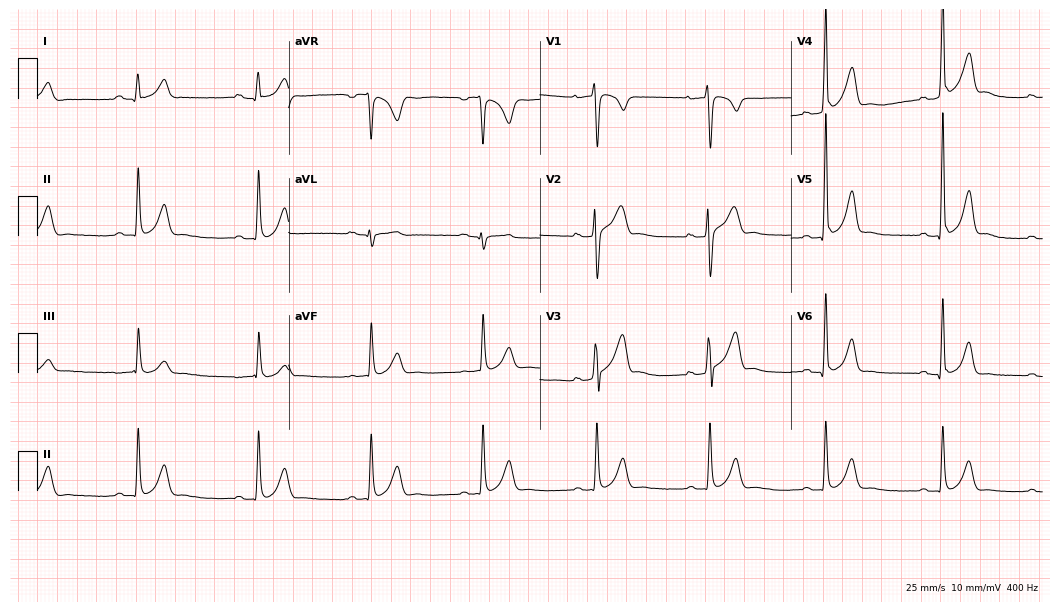
12-lead ECG from a male patient, 27 years old. No first-degree AV block, right bundle branch block, left bundle branch block, sinus bradycardia, atrial fibrillation or sinus tachycardia recorded for this tracing. Other findings, if any, are not listed.